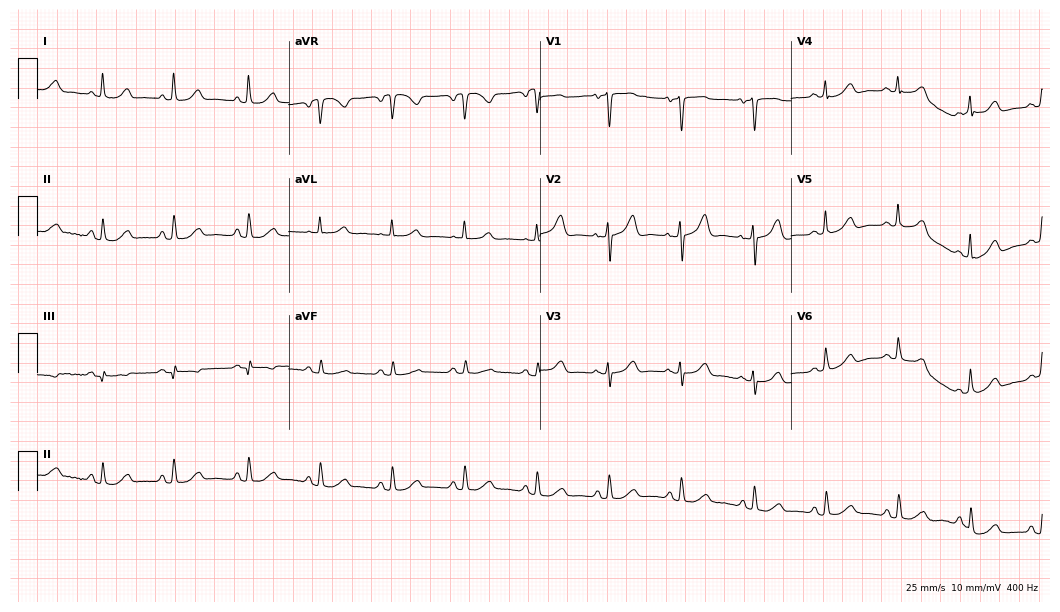
Resting 12-lead electrocardiogram (10.2-second recording at 400 Hz). Patient: a 78-year-old female. Read as a normal ECG.